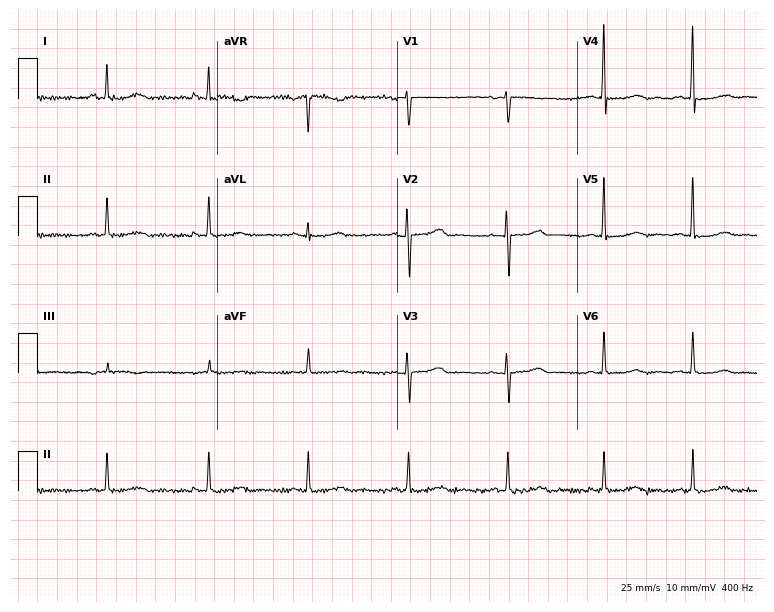
12-lead ECG (7.3-second recording at 400 Hz) from a woman, 37 years old. Screened for six findings — first-degree AV block, right bundle branch block, left bundle branch block, sinus bradycardia, atrial fibrillation, sinus tachycardia — none is recorded.